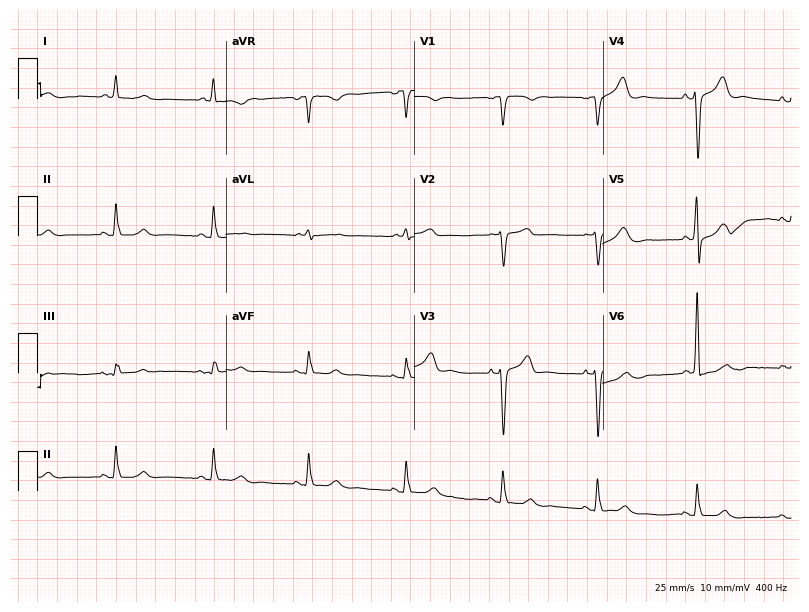
Resting 12-lead electrocardiogram (7.7-second recording at 400 Hz). Patient: a 78-year-old man. None of these six findings is recorded: first-degree AV block, right bundle branch block, left bundle branch block, sinus bradycardia, atrial fibrillation, sinus tachycardia. Only these six findings were labelled.